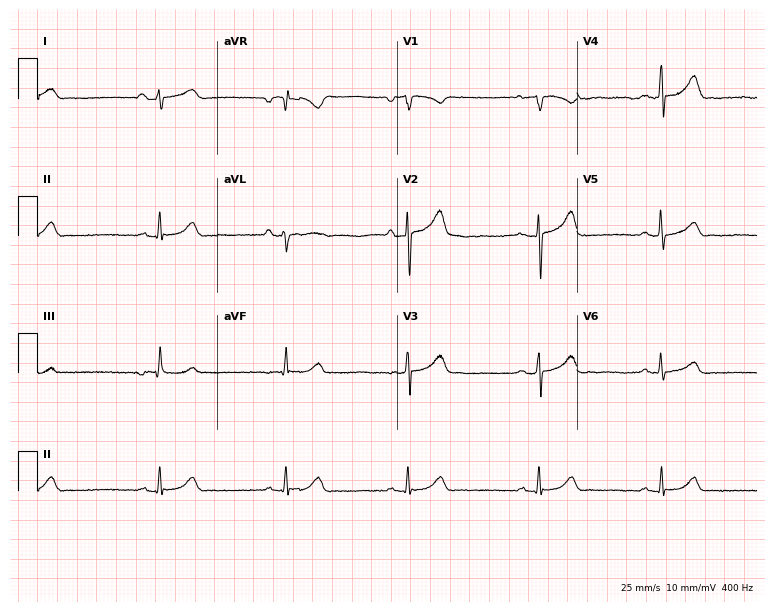
Standard 12-lead ECG recorded from a male, 50 years old (7.3-second recording at 400 Hz). None of these six findings is recorded: first-degree AV block, right bundle branch block, left bundle branch block, sinus bradycardia, atrial fibrillation, sinus tachycardia. Findings outside these six are not listed.